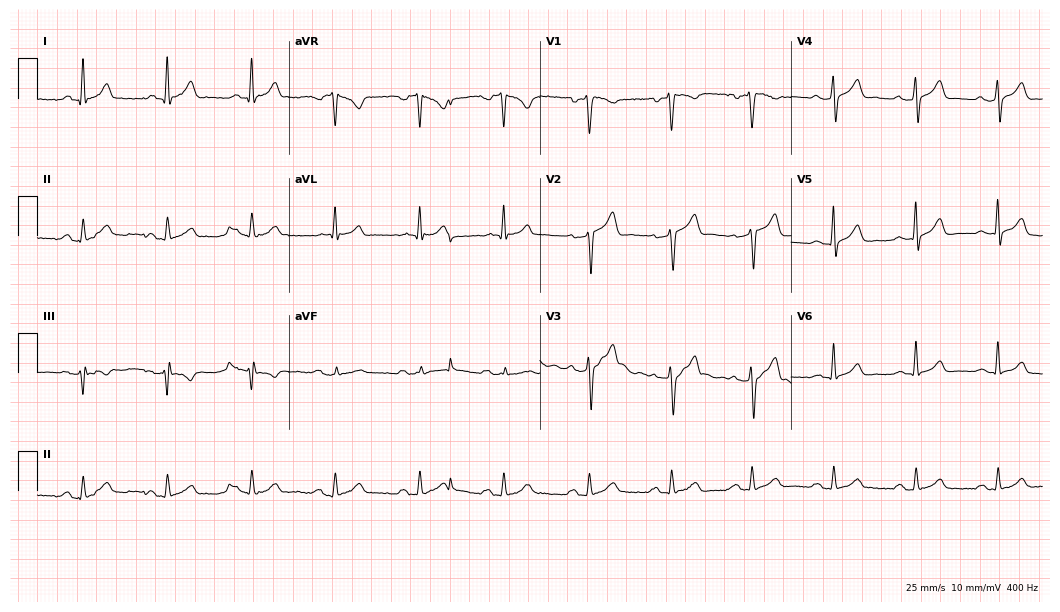
Electrocardiogram, a male, 44 years old. Overall reading on record: normal ECG.